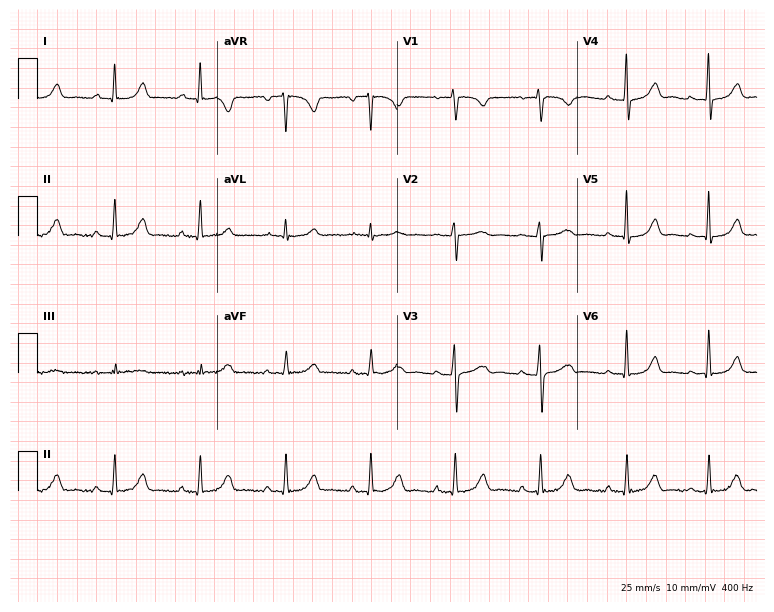
Electrocardiogram, a female, 49 years old. Overall reading on record: normal ECG.